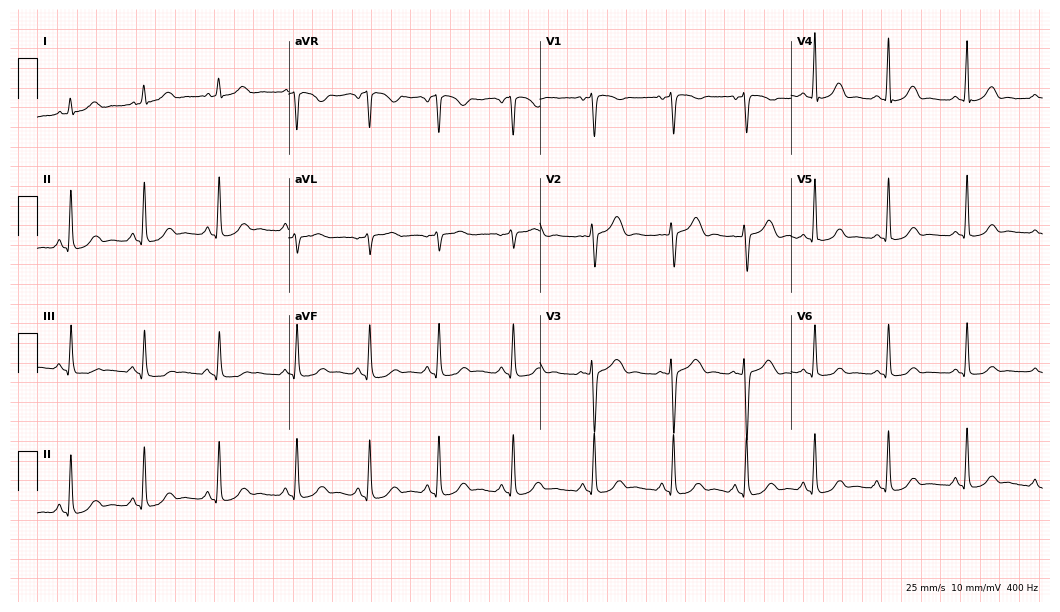
Standard 12-lead ECG recorded from a female, 36 years old. Read as a normal ECG.